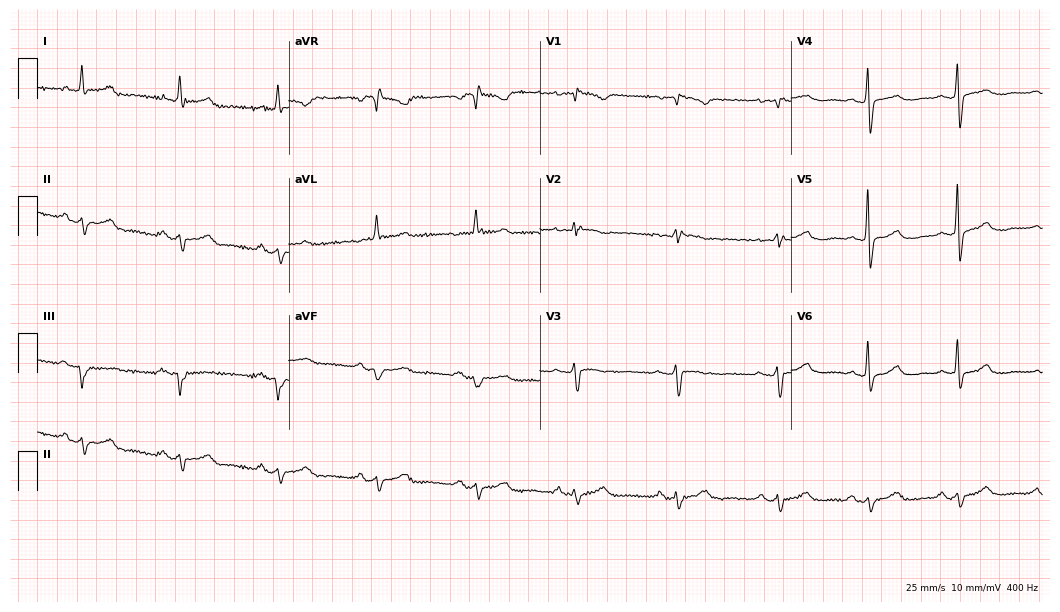
Electrocardiogram, a 65-year-old woman. Interpretation includes right bundle branch block (RBBB).